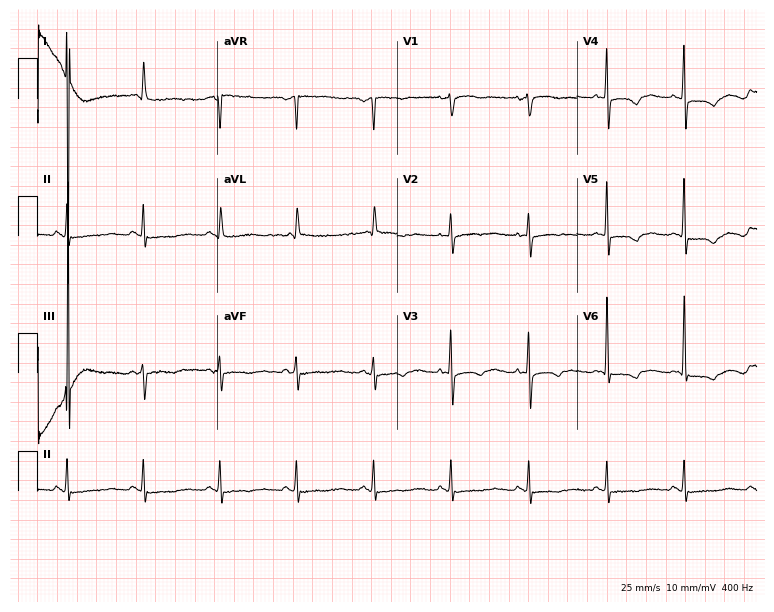
Standard 12-lead ECG recorded from a 77-year-old female patient (7.3-second recording at 400 Hz). None of these six findings is recorded: first-degree AV block, right bundle branch block (RBBB), left bundle branch block (LBBB), sinus bradycardia, atrial fibrillation (AF), sinus tachycardia. Other findings, if any, are not listed.